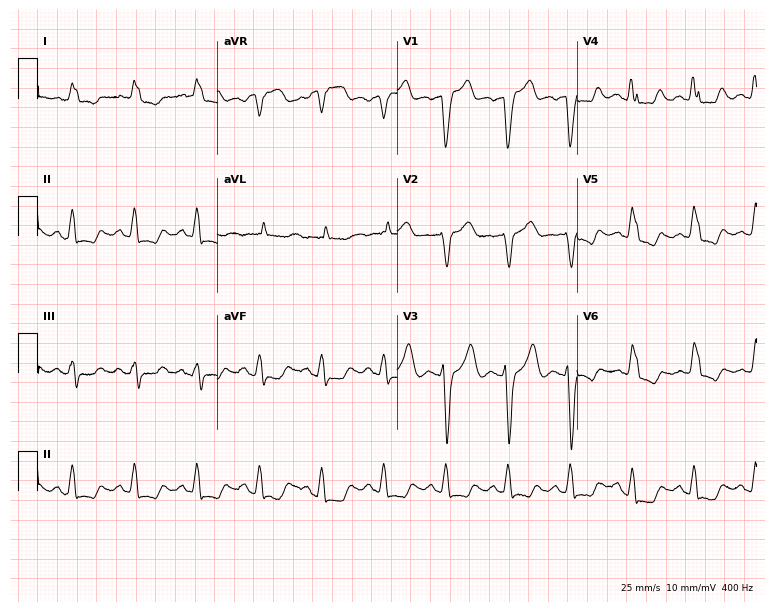
12-lead ECG from a female patient, 81 years old. Findings include left bundle branch block.